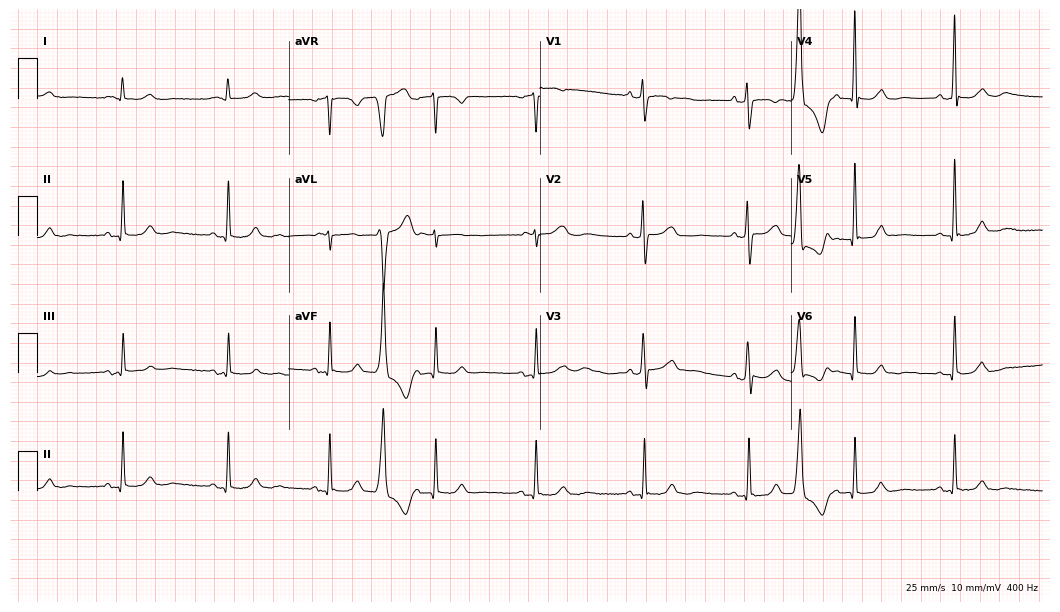
Standard 12-lead ECG recorded from an 82-year-old female patient. Read as a normal ECG.